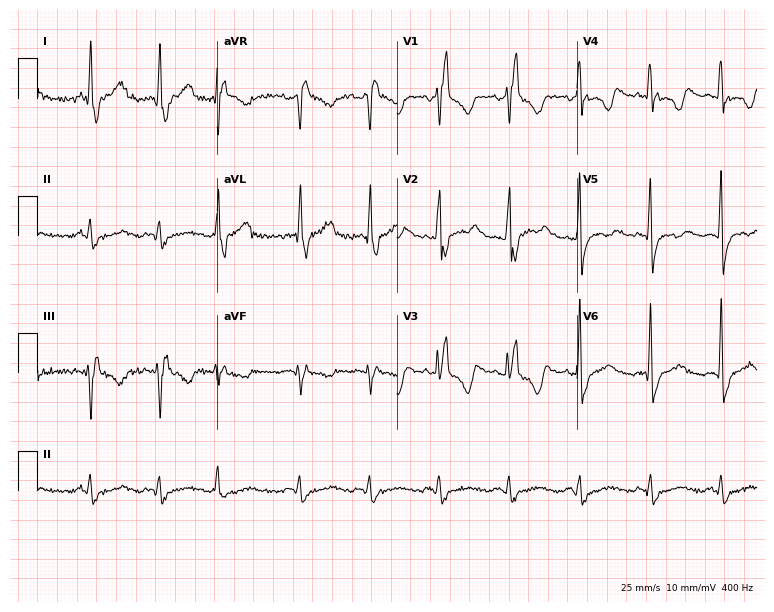
12-lead ECG (7.3-second recording at 400 Hz) from a 41-year-old male. Findings include right bundle branch block.